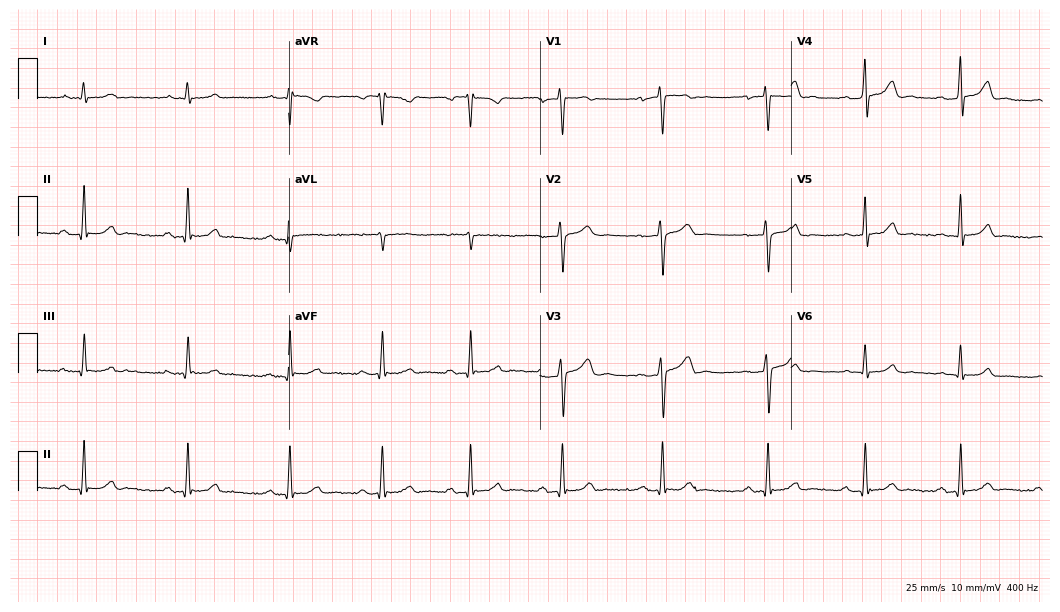
Standard 12-lead ECG recorded from a male patient, 29 years old (10.2-second recording at 400 Hz). None of these six findings is recorded: first-degree AV block, right bundle branch block, left bundle branch block, sinus bradycardia, atrial fibrillation, sinus tachycardia. Findings outside these six are not listed.